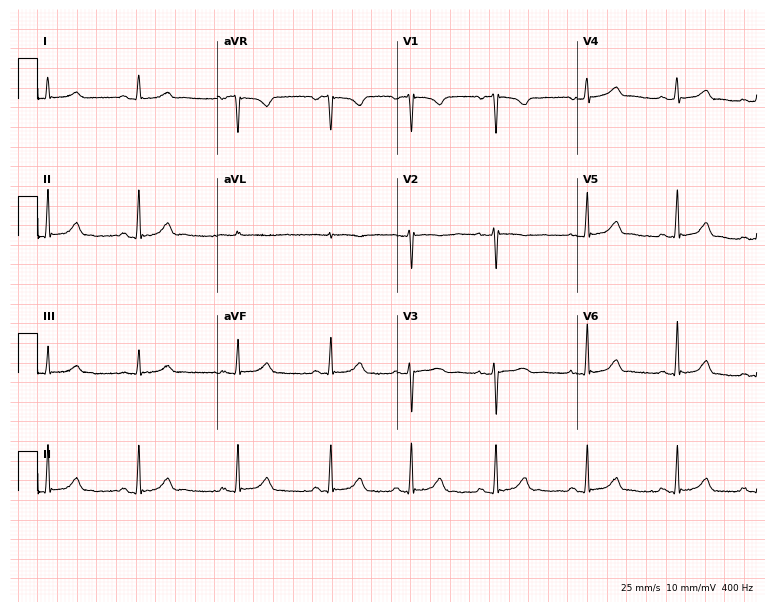
ECG (7.3-second recording at 400 Hz) — a female patient, 32 years old. Labelled as a normal ECG.